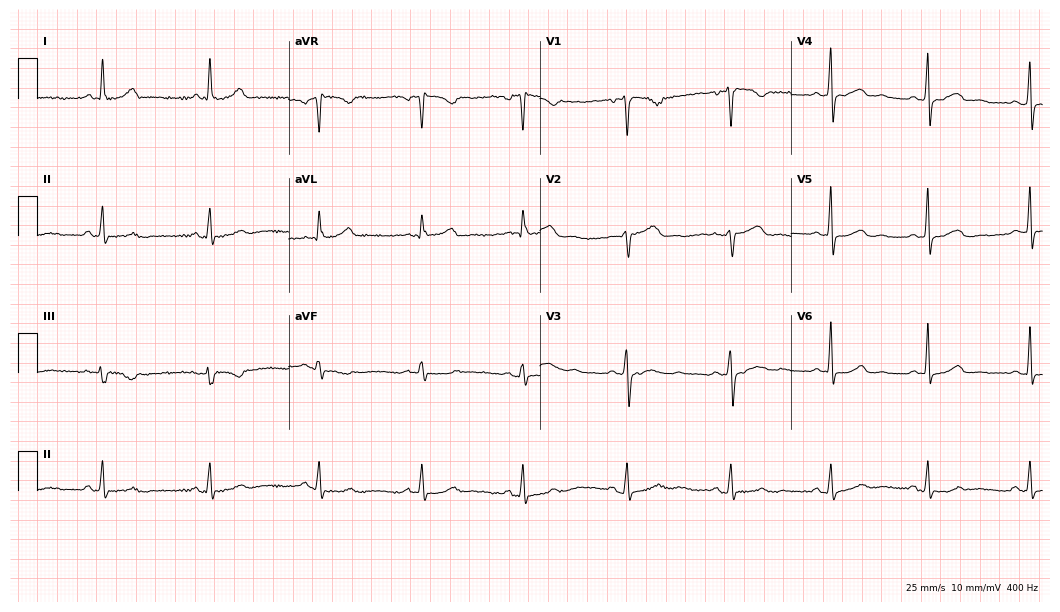
Standard 12-lead ECG recorded from a 43-year-old woman. None of these six findings is recorded: first-degree AV block, right bundle branch block, left bundle branch block, sinus bradycardia, atrial fibrillation, sinus tachycardia. Only these six findings were labelled.